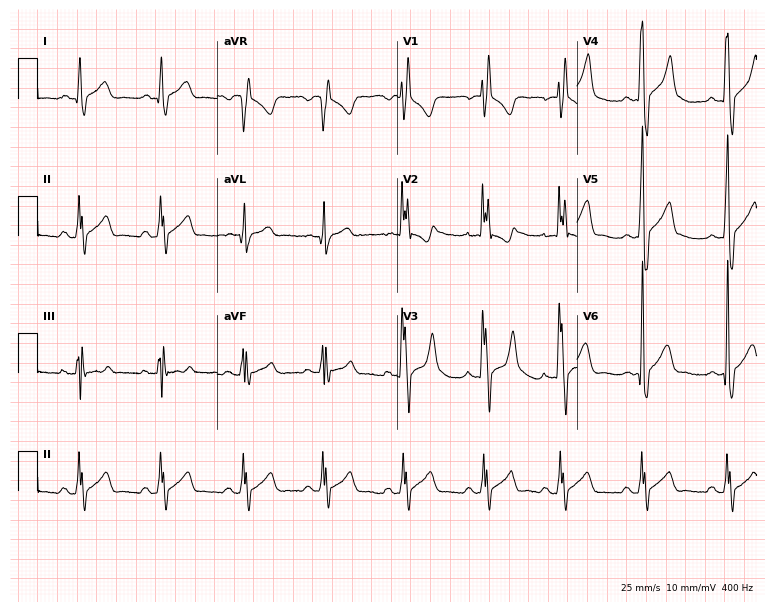
12-lead ECG from a man, 18 years old. Shows right bundle branch block.